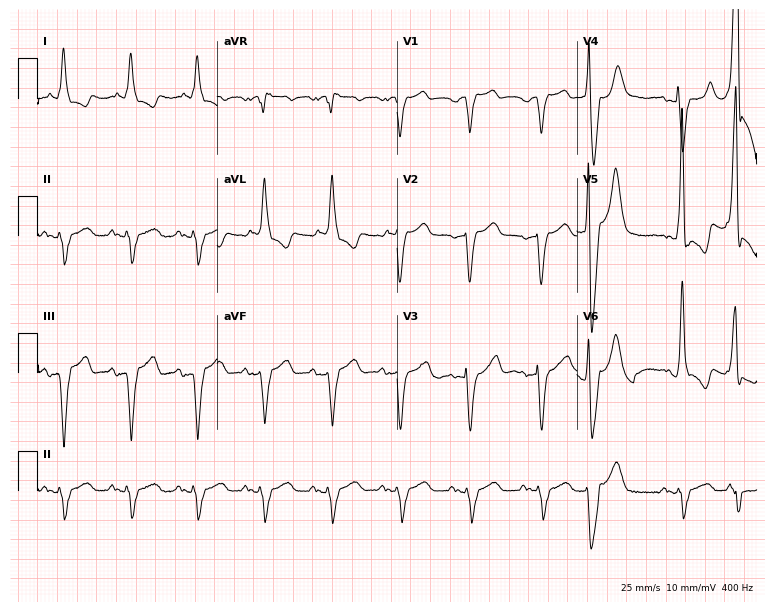
12-lead ECG from an 85-year-old male patient (7.3-second recording at 400 Hz). Shows left bundle branch block.